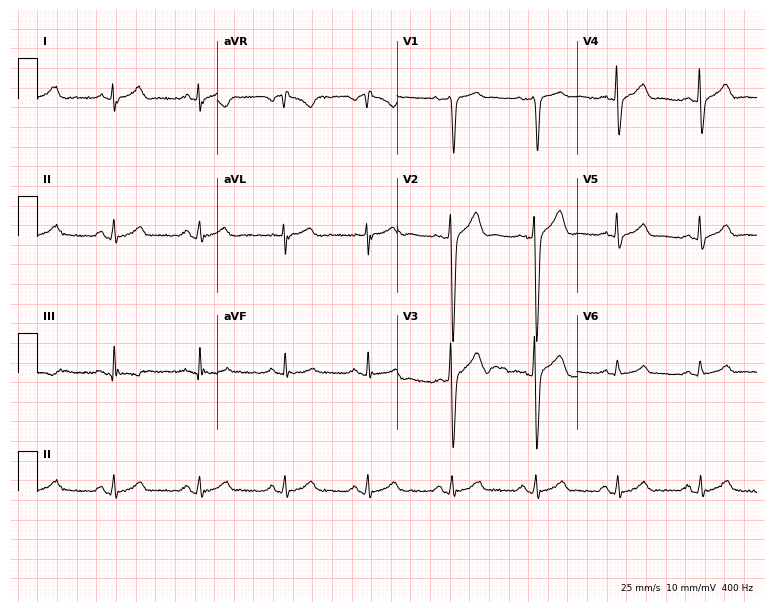
Resting 12-lead electrocardiogram (7.3-second recording at 400 Hz). Patient: a 46-year-old male. None of these six findings is recorded: first-degree AV block, right bundle branch block, left bundle branch block, sinus bradycardia, atrial fibrillation, sinus tachycardia. Only these six findings were labelled.